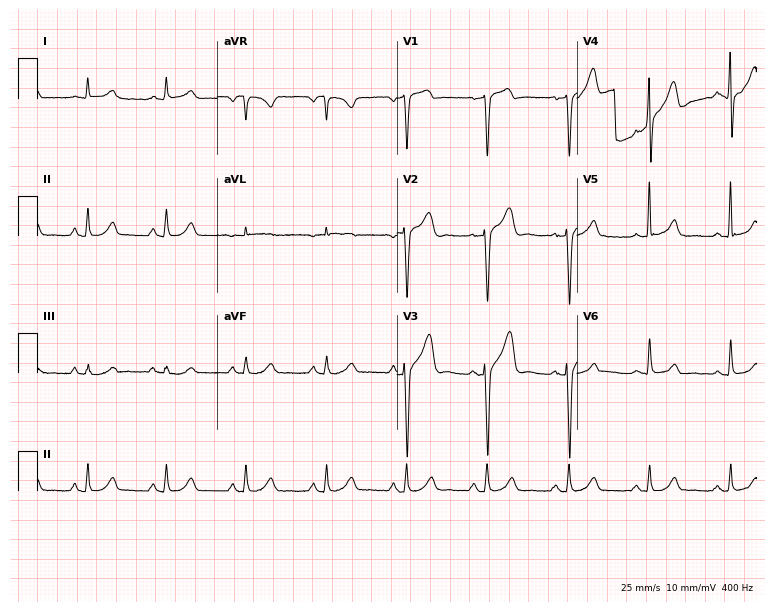
ECG (7.3-second recording at 400 Hz) — a man, 54 years old. Screened for six findings — first-degree AV block, right bundle branch block, left bundle branch block, sinus bradycardia, atrial fibrillation, sinus tachycardia — none is recorded.